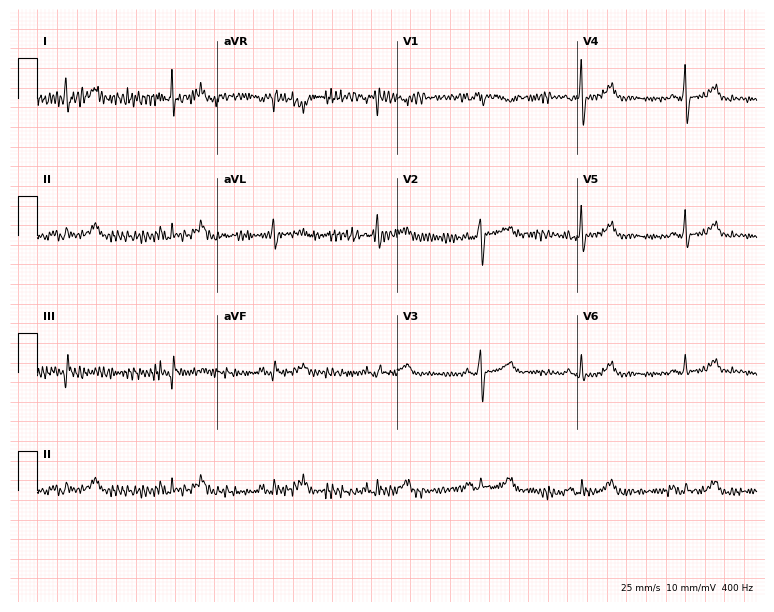
Standard 12-lead ECG recorded from a woman, 66 years old. None of these six findings is recorded: first-degree AV block, right bundle branch block, left bundle branch block, sinus bradycardia, atrial fibrillation, sinus tachycardia. Findings outside these six are not listed.